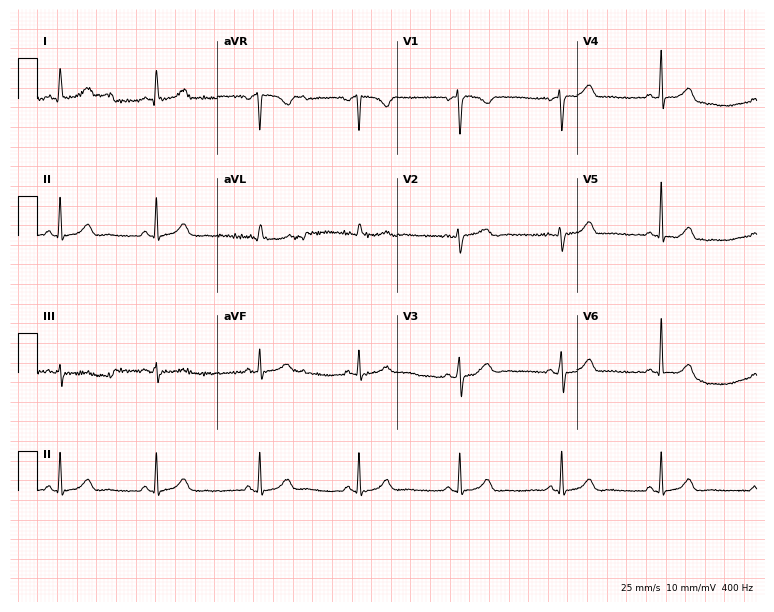
Electrocardiogram (7.3-second recording at 400 Hz), a 47-year-old female patient. Overall reading on record: normal ECG.